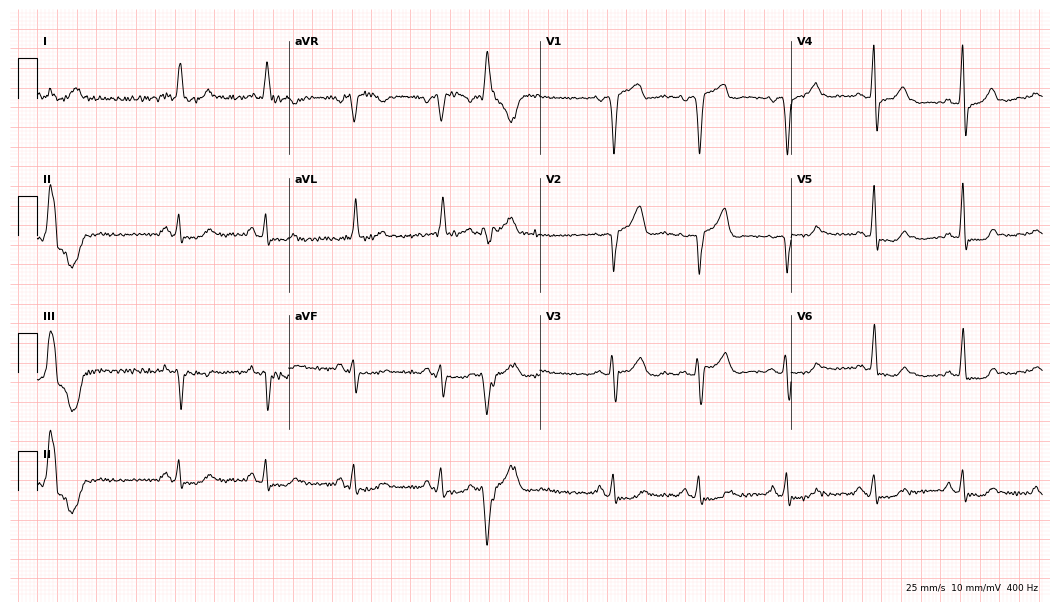
12-lead ECG from a 77-year-old male (10.2-second recording at 400 Hz). No first-degree AV block, right bundle branch block, left bundle branch block, sinus bradycardia, atrial fibrillation or sinus tachycardia recorded for this tracing.